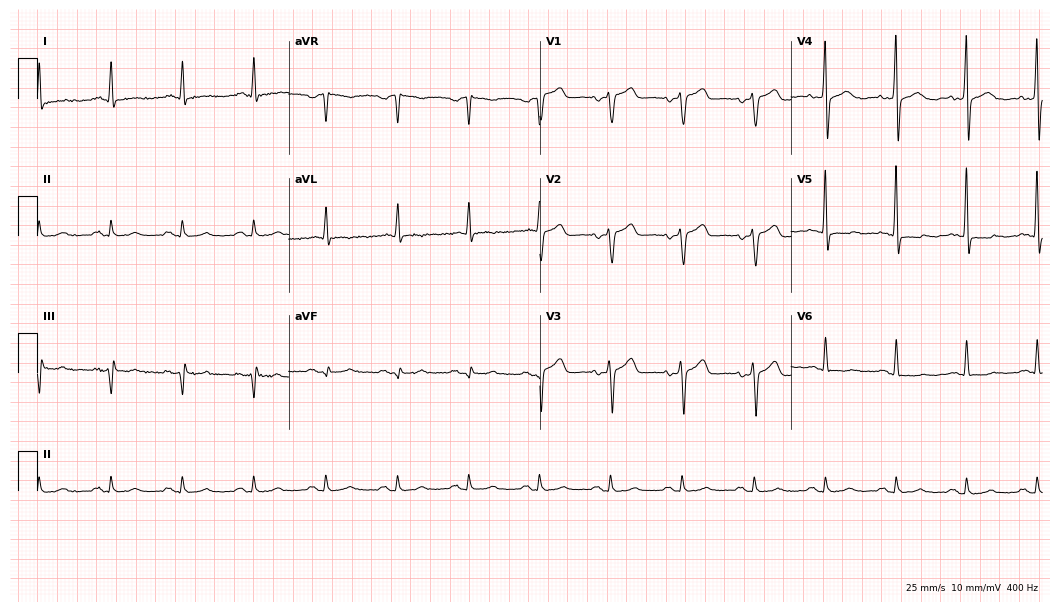
12-lead ECG (10.2-second recording at 400 Hz) from a 64-year-old female patient. Screened for six findings — first-degree AV block, right bundle branch block (RBBB), left bundle branch block (LBBB), sinus bradycardia, atrial fibrillation (AF), sinus tachycardia — none is recorded.